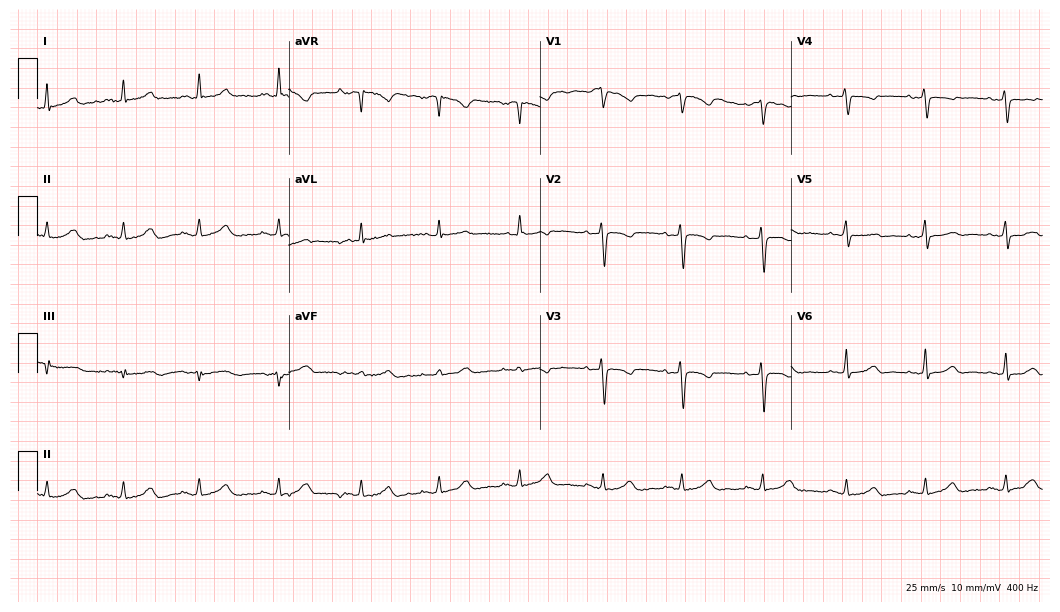
12-lead ECG from a woman, 46 years old. Labelled as a normal ECG.